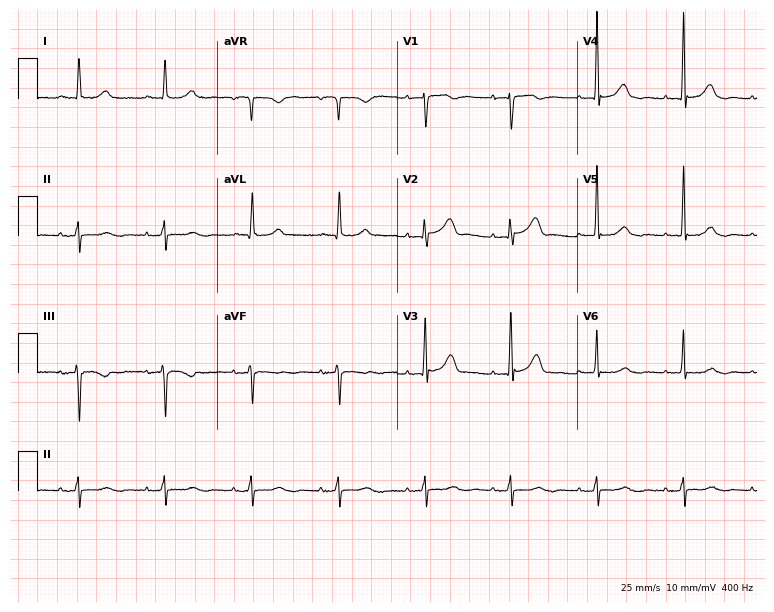
ECG — a female, 81 years old. Screened for six findings — first-degree AV block, right bundle branch block, left bundle branch block, sinus bradycardia, atrial fibrillation, sinus tachycardia — none is recorded. Only these six findings were labelled.